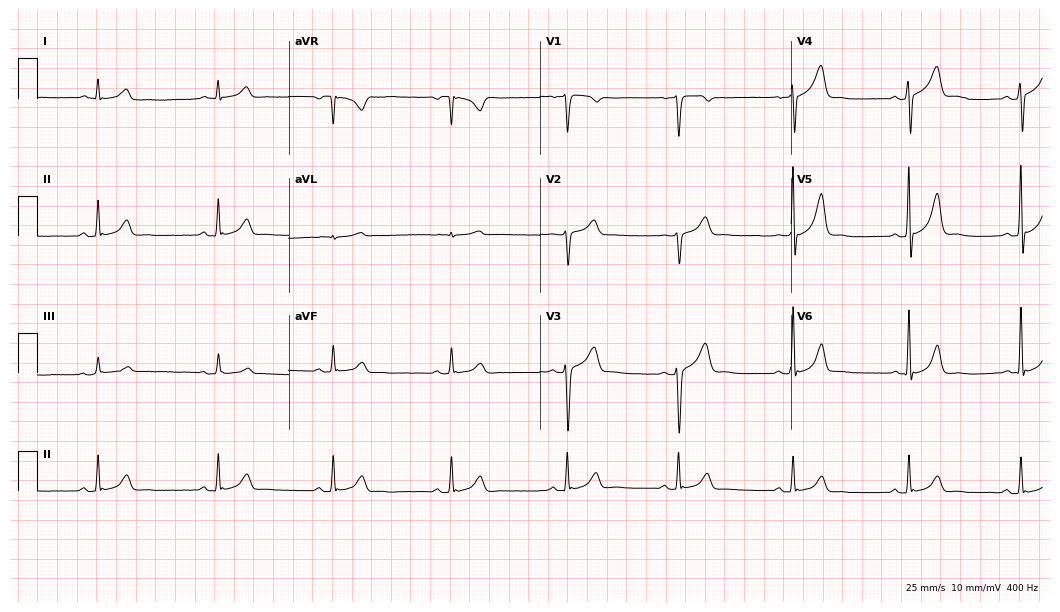
Resting 12-lead electrocardiogram (10.2-second recording at 400 Hz). Patient: a 60-year-old male. The tracing shows sinus bradycardia (a sinus rate of 50 beats per minute or less).